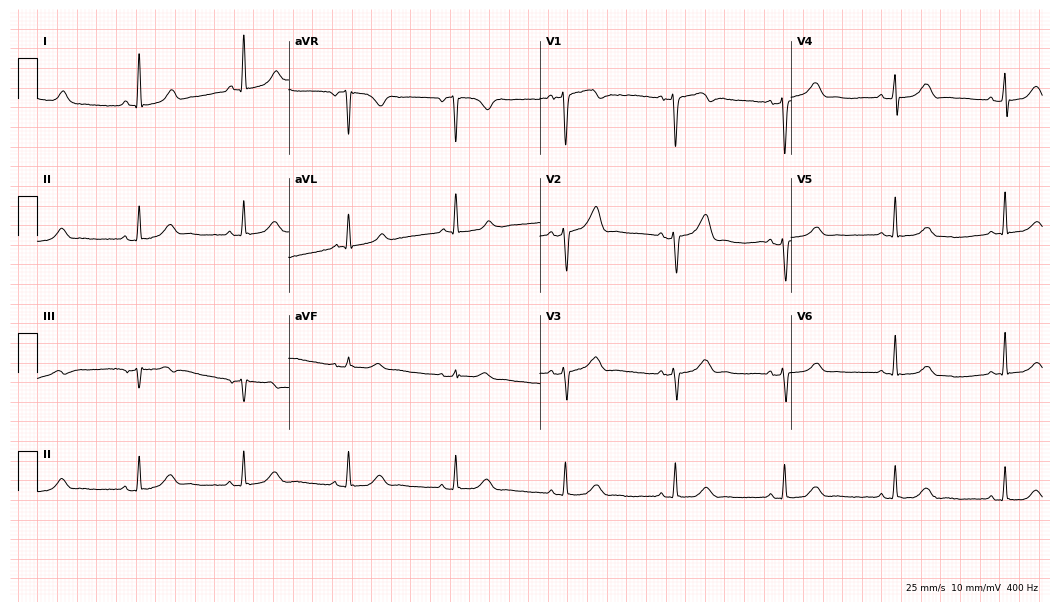
Resting 12-lead electrocardiogram. Patient: a 60-year-old female. Read as a normal ECG.